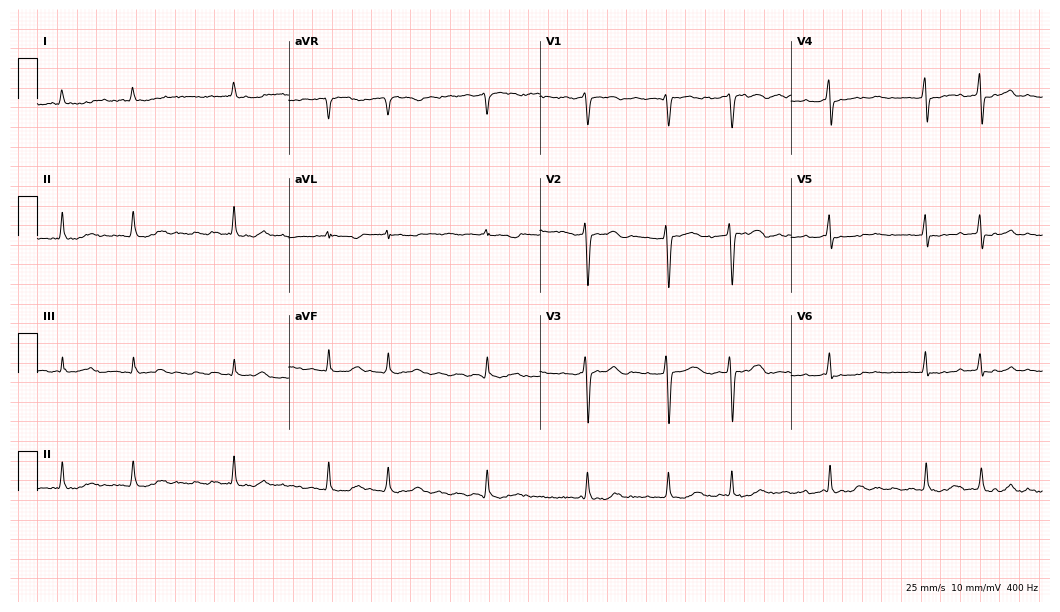
Resting 12-lead electrocardiogram. Patient: a 63-year-old woman. The tracing shows atrial fibrillation (AF).